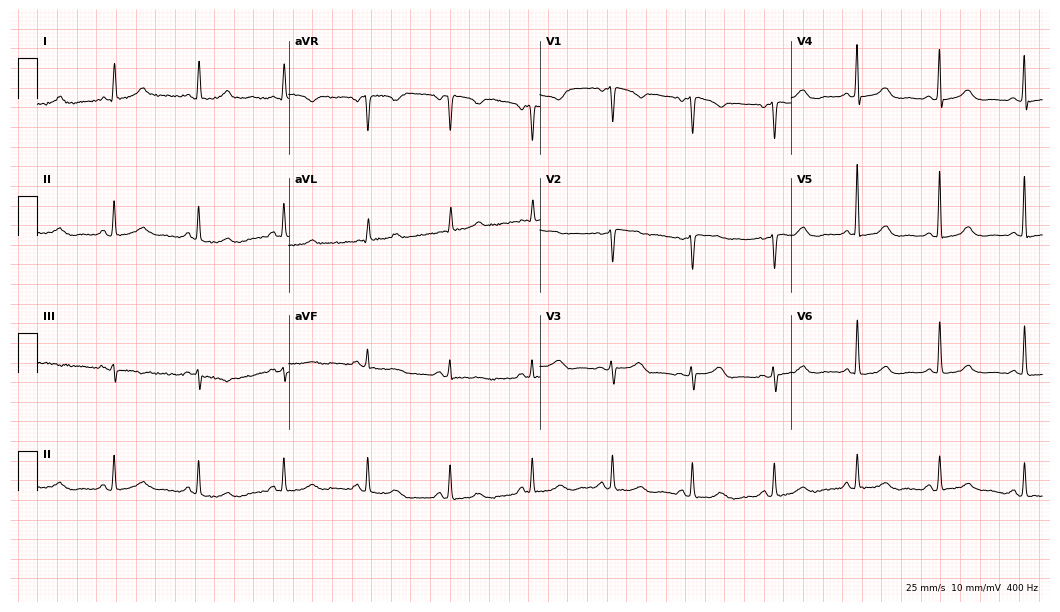
12-lead ECG from an 82-year-old female patient. Recorded interpretation: within normal limits.